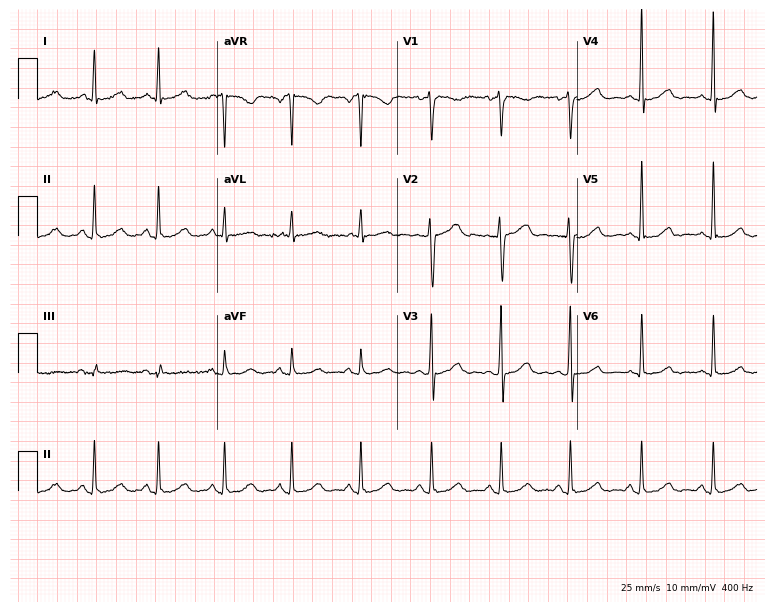
12-lead ECG (7.3-second recording at 400 Hz) from a 35-year-old woman. Labelled as a normal ECG.